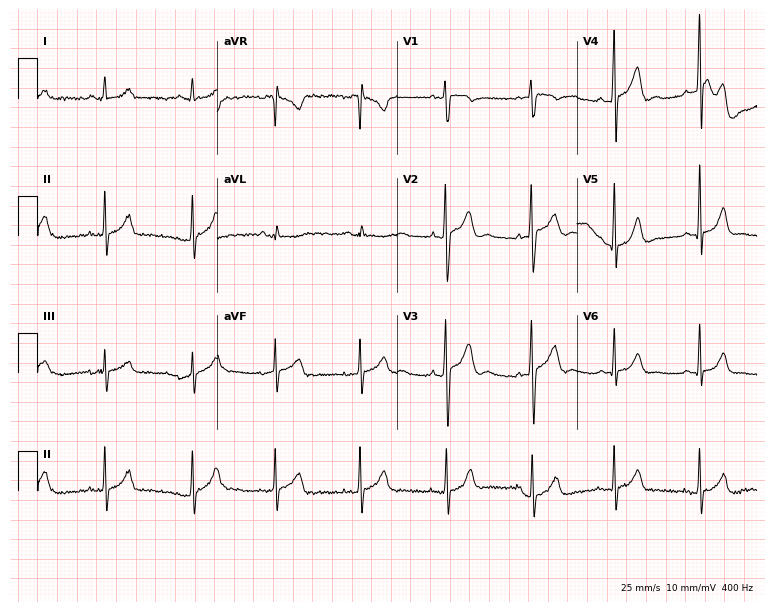
Resting 12-lead electrocardiogram. Patient: a man, 20 years old. None of these six findings is recorded: first-degree AV block, right bundle branch block, left bundle branch block, sinus bradycardia, atrial fibrillation, sinus tachycardia. Findings outside these six are not listed.